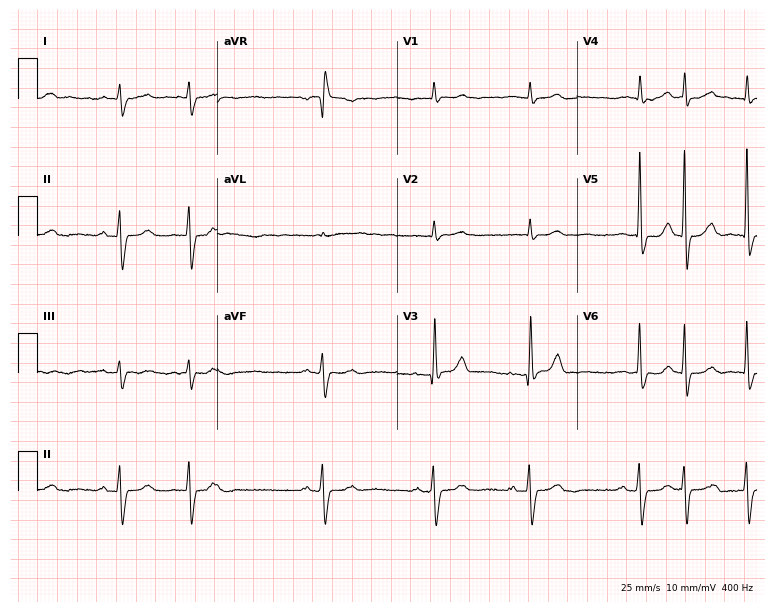
Standard 12-lead ECG recorded from a female, 69 years old (7.3-second recording at 400 Hz). None of these six findings is recorded: first-degree AV block, right bundle branch block, left bundle branch block, sinus bradycardia, atrial fibrillation, sinus tachycardia. Findings outside these six are not listed.